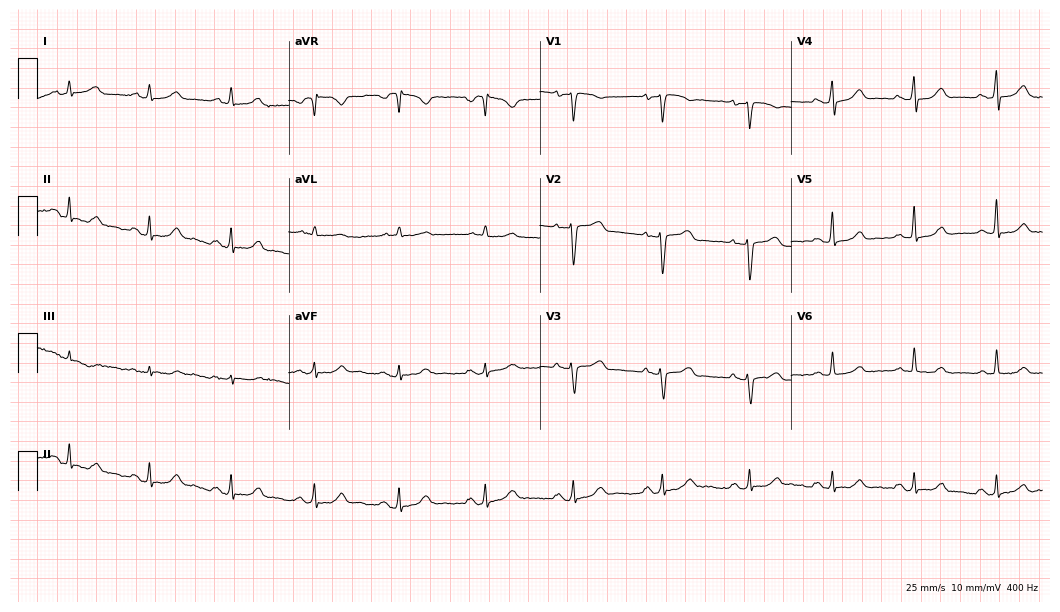
Electrocardiogram, a female, 55 years old. Overall reading on record: normal ECG.